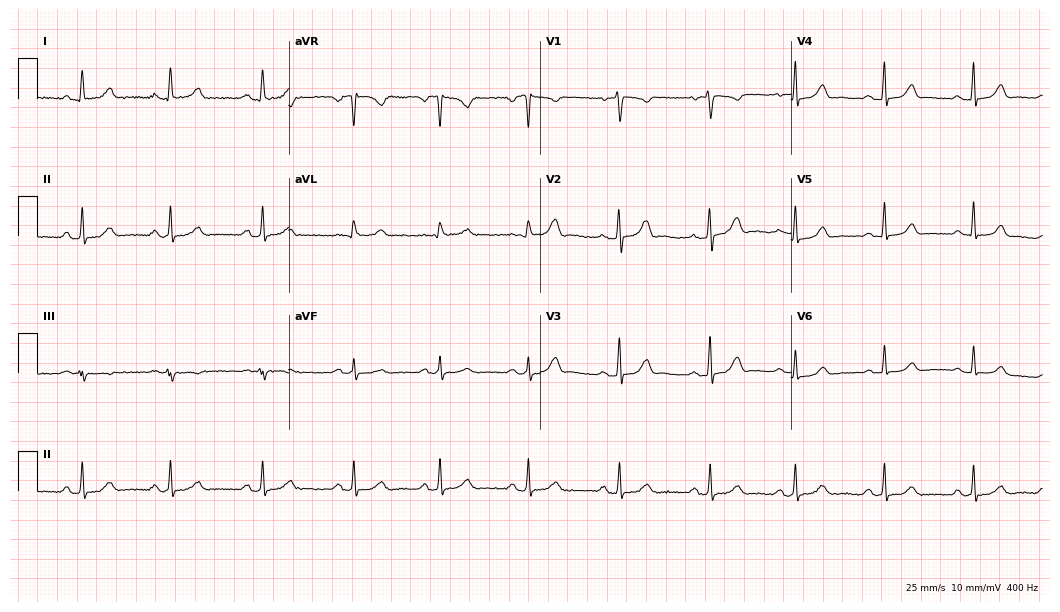
Electrocardiogram, a 29-year-old female. Overall reading on record: normal ECG.